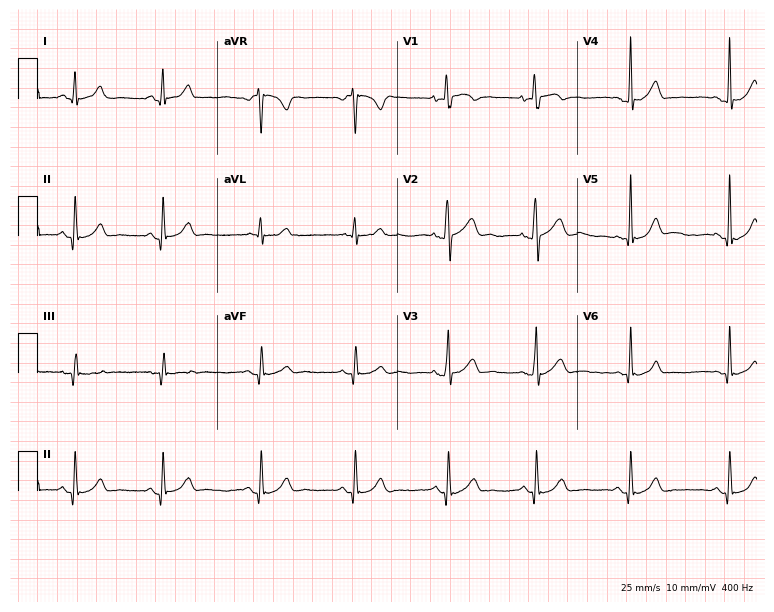
Standard 12-lead ECG recorded from a male, 24 years old. Read as a normal ECG.